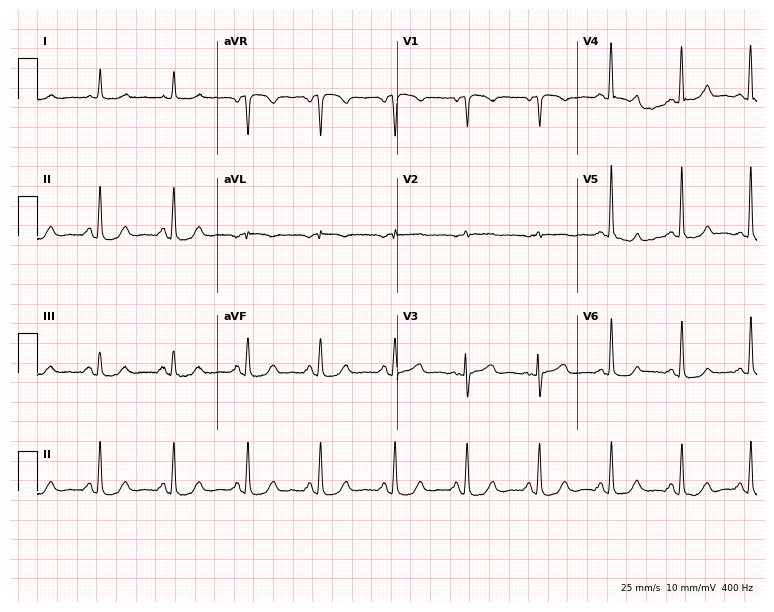
ECG (7.3-second recording at 400 Hz) — a 72-year-old woman. Labelled as a normal ECG.